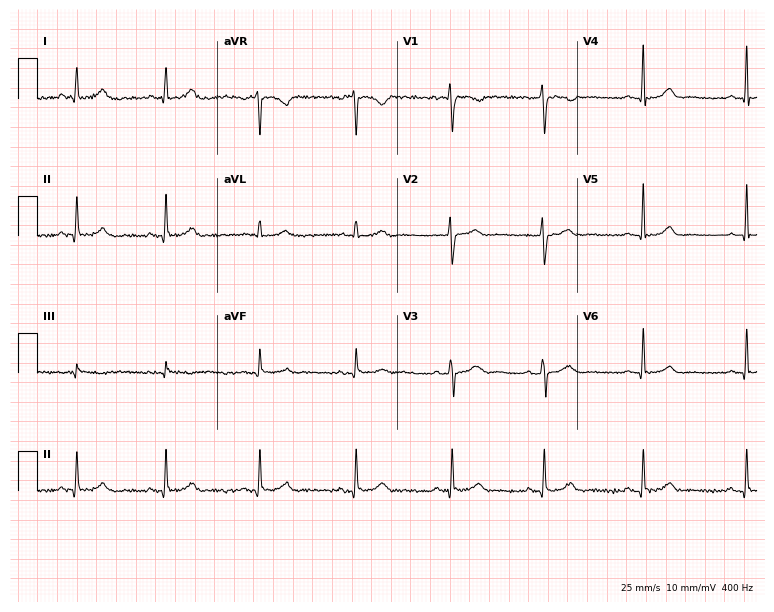
Standard 12-lead ECG recorded from a female patient, 39 years old. Read as a normal ECG.